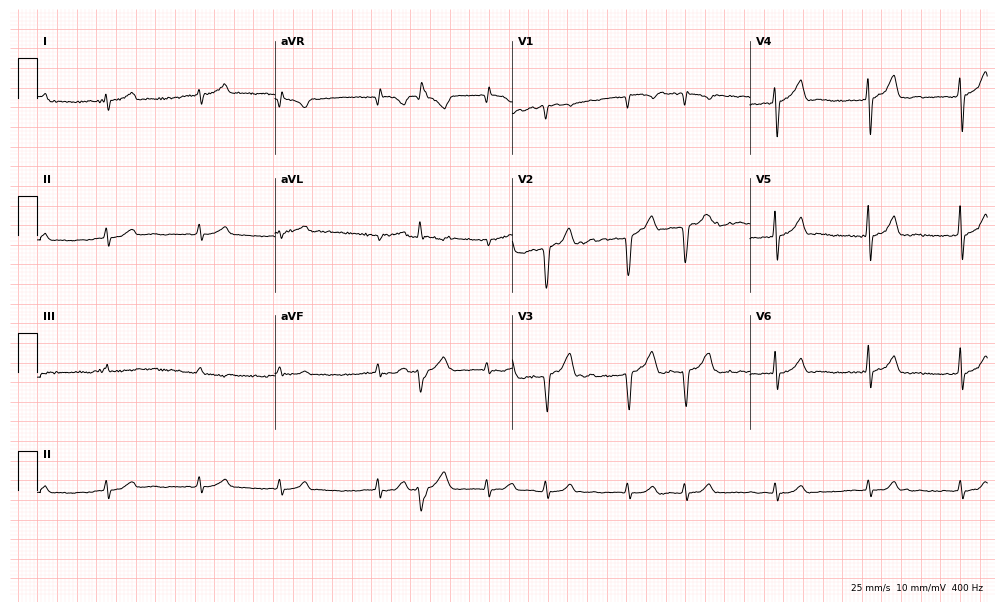
Resting 12-lead electrocardiogram (9.7-second recording at 400 Hz). Patient: a 63-year-old male. The tracing shows atrial fibrillation.